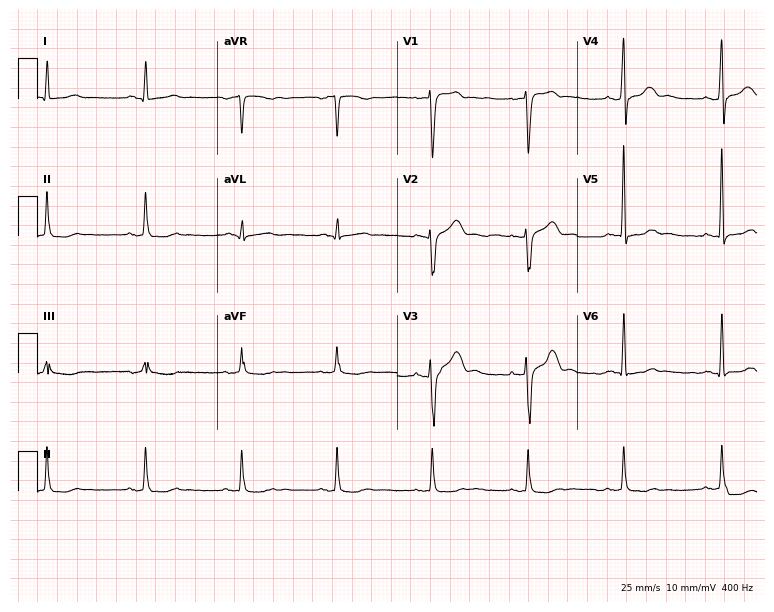
Resting 12-lead electrocardiogram (7.3-second recording at 400 Hz). Patient: a 58-year-old male. None of these six findings is recorded: first-degree AV block, right bundle branch block, left bundle branch block, sinus bradycardia, atrial fibrillation, sinus tachycardia.